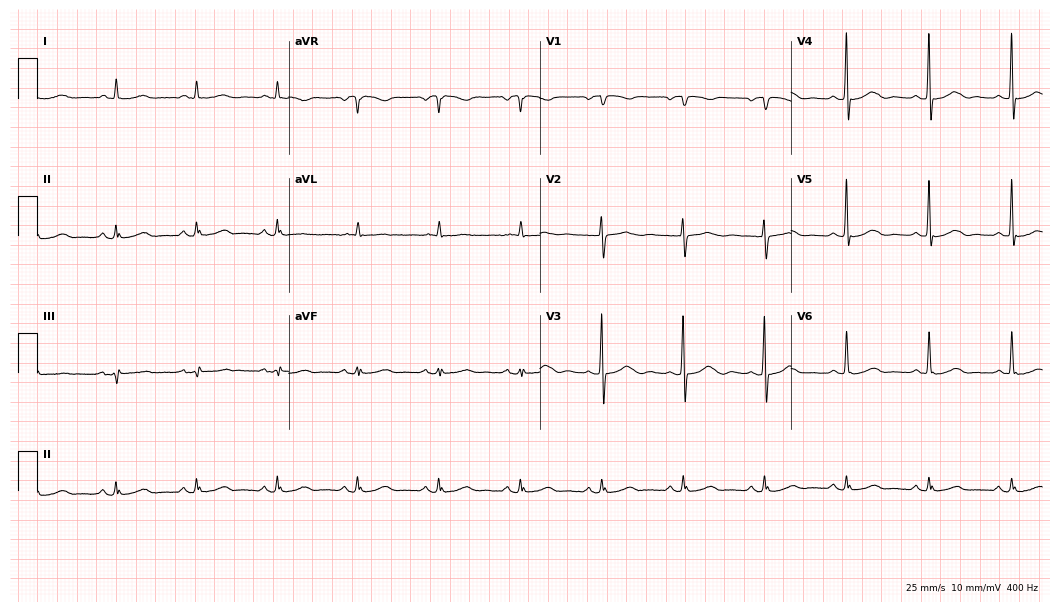
12-lead ECG from a female, 70 years old. No first-degree AV block, right bundle branch block (RBBB), left bundle branch block (LBBB), sinus bradycardia, atrial fibrillation (AF) or sinus tachycardia recorded for this tracing.